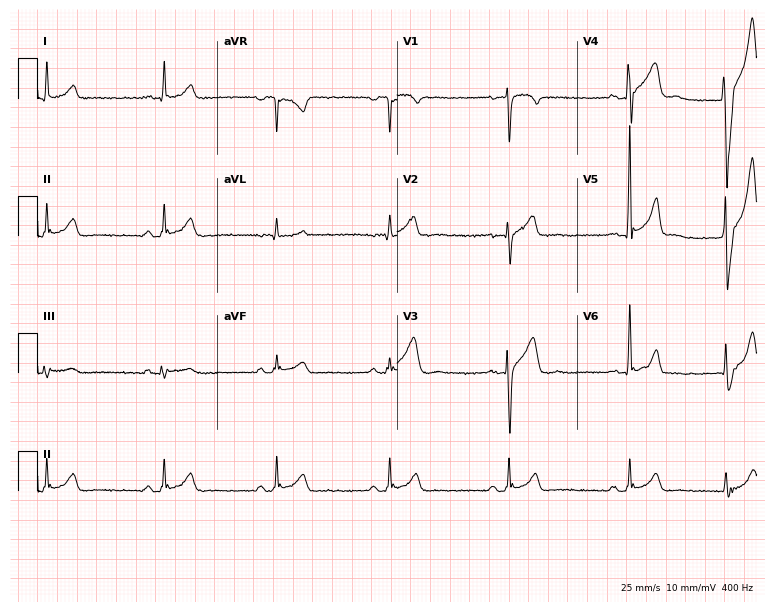
Standard 12-lead ECG recorded from a male, 29 years old. Read as a normal ECG.